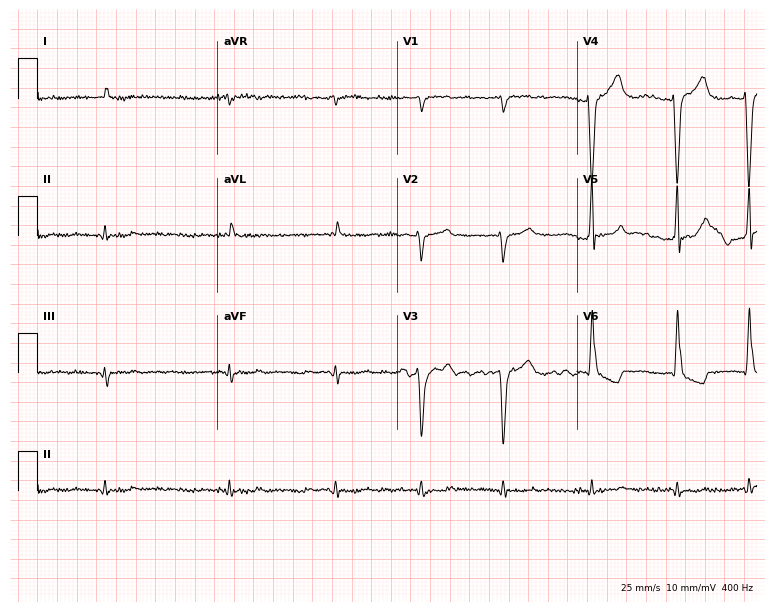
Electrocardiogram (7.3-second recording at 400 Hz), a 78-year-old male. Interpretation includes atrial fibrillation.